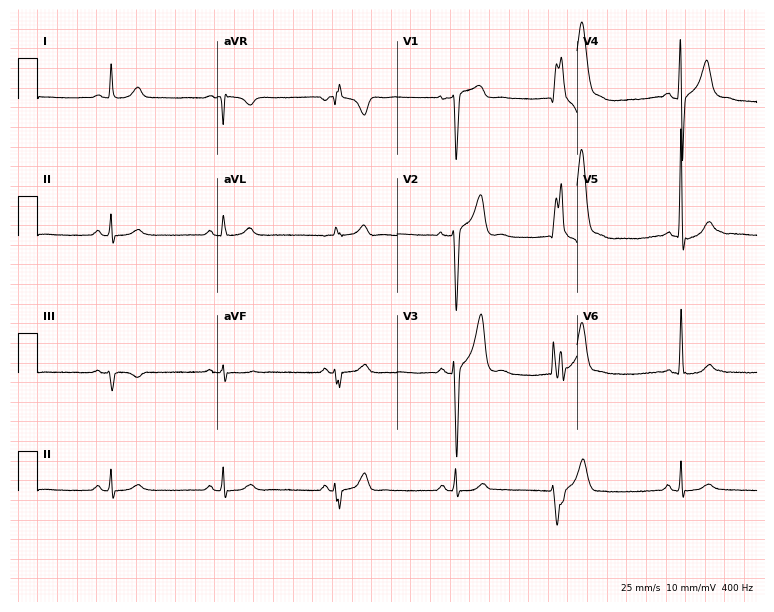
Standard 12-lead ECG recorded from a male, 68 years old. None of these six findings is recorded: first-degree AV block, right bundle branch block (RBBB), left bundle branch block (LBBB), sinus bradycardia, atrial fibrillation (AF), sinus tachycardia. Findings outside these six are not listed.